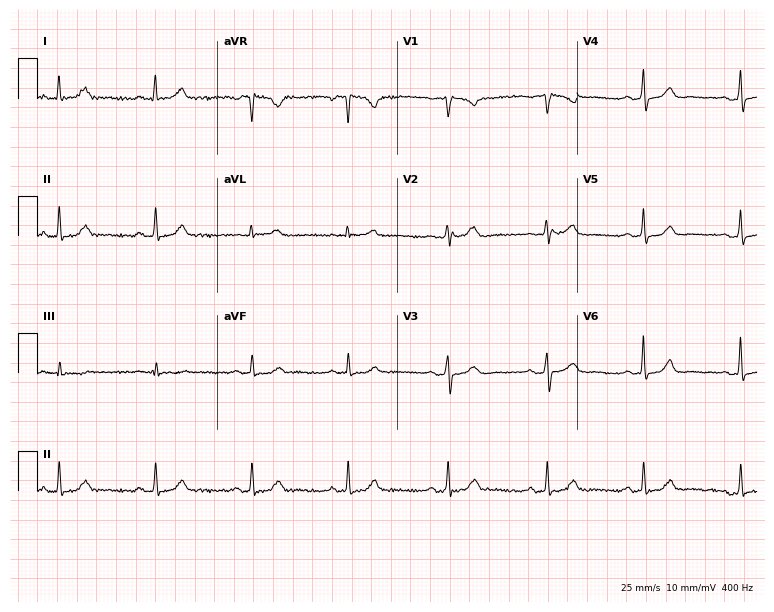
12-lead ECG from a female, 62 years old (7.3-second recording at 400 Hz). Recorded interpretation: within normal limits.